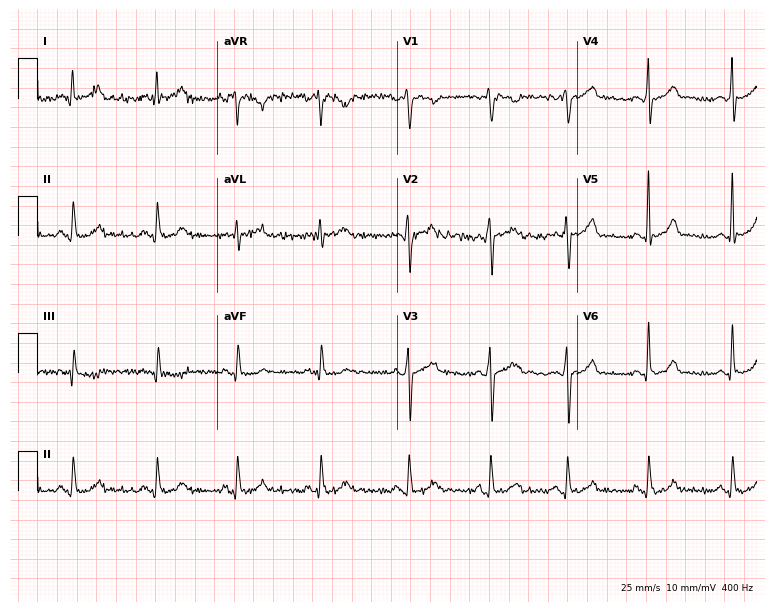
ECG (7.3-second recording at 400 Hz) — a male, 40 years old. Labelled as a normal ECG.